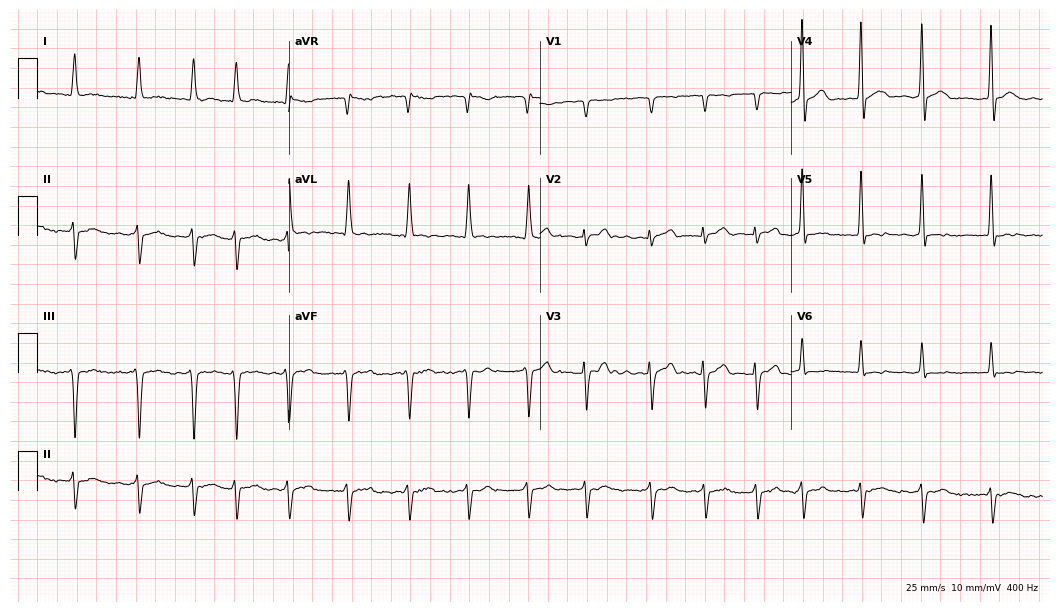
Standard 12-lead ECG recorded from an 81-year-old man. The tracing shows atrial fibrillation (AF).